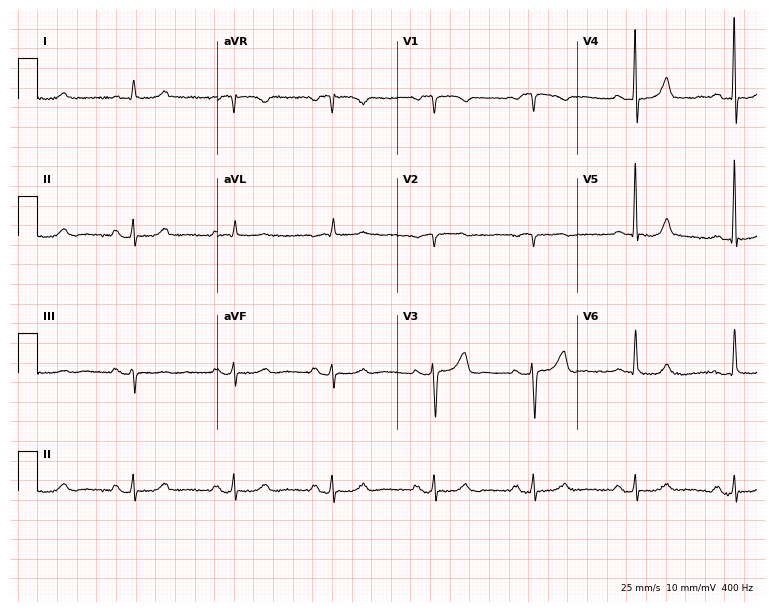
Standard 12-lead ECG recorded from an 82-year-old female (7.3-second recording at 400 Hz). Read as a normal ECG.